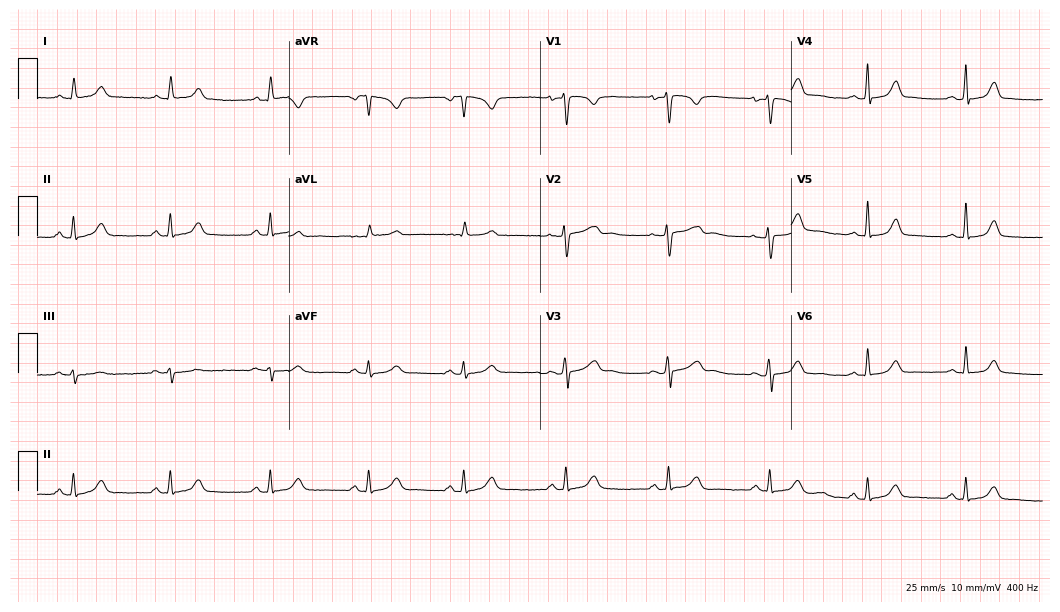
12-lead ECG from a female patient, 28 years old. Recorded interpretation: within normal limits.